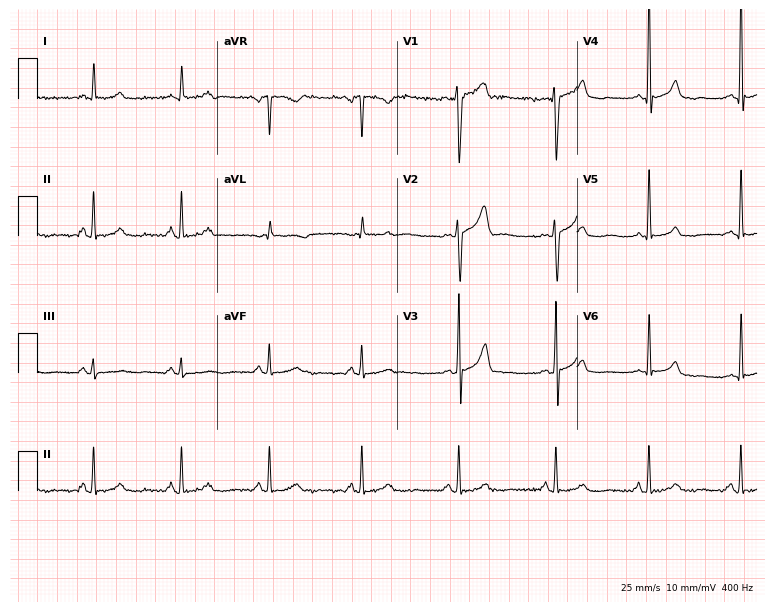
Standard 12-lead ECG recorded from a 45-year-old man. None of these six findings is recorded: first-degree AV block, right bundle branch block (RBBB), left bundle branch block (LBBB), sinus bradycardia, atrial fibrillation (AF), sinus tachycardia. Only these six findings were labelled.